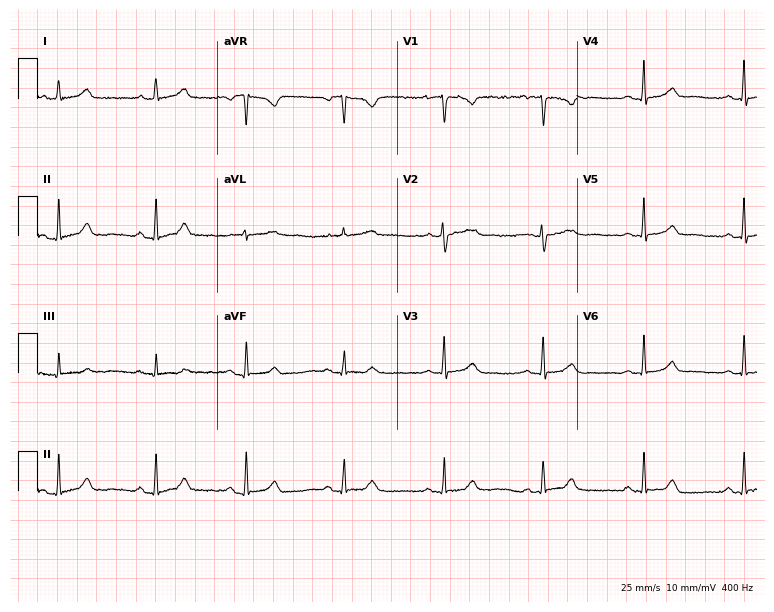
Resting 12-lead electrocardiogram (7.3-second recording at 400 Hz). Patient: a 41-year-old female. Read as a normal ECG.